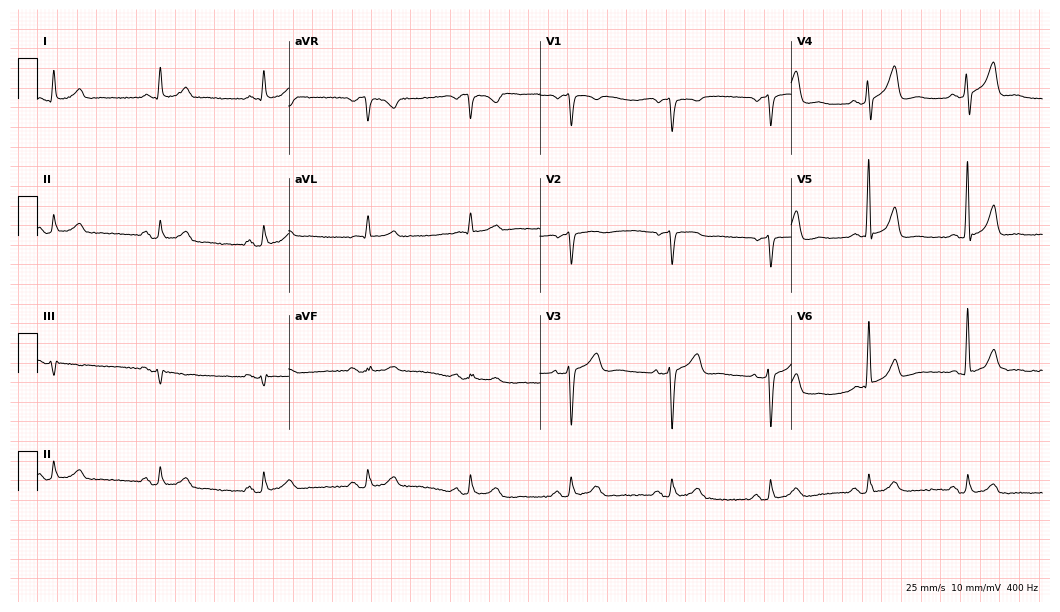
12-lead ECG (10.2-second recording at 400 Hz) from a man, 71 years old. Labelled as a normal ECG.